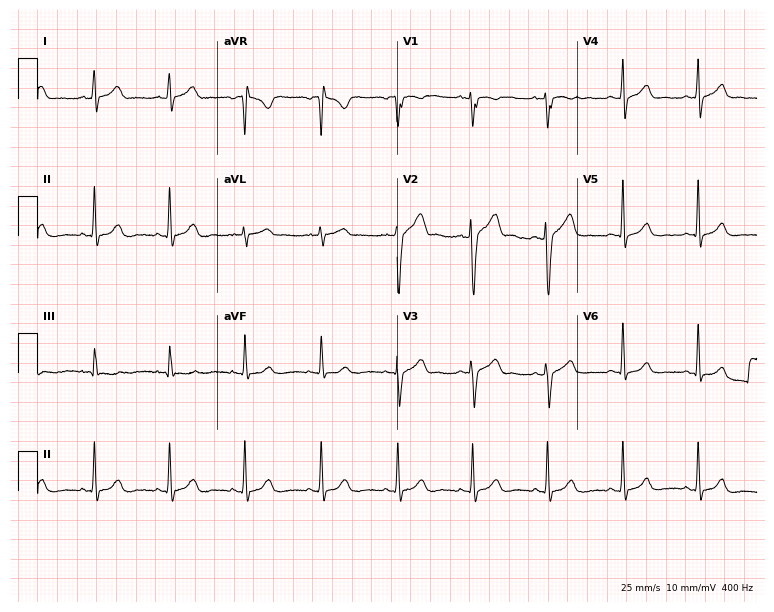
Standard 12-lead ECG recorded from a 23-year-old man (7.3-second recording at 400 Hz). Read as a normal ECG.